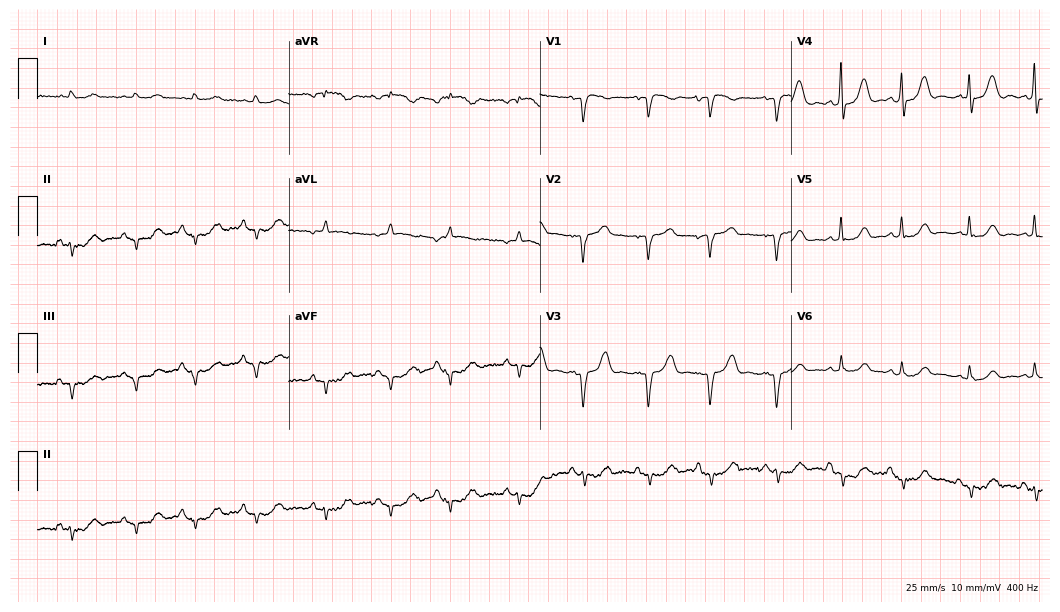
Electrocardiogram, an 85-year-old female. Of the six screened findings (first-degree AV block, right bundle branch block (RBBB), left bundle branch block (LBBB), sinus bradycardia, atrial fibrillation (AF), sinus tachycardia), none is recorded.